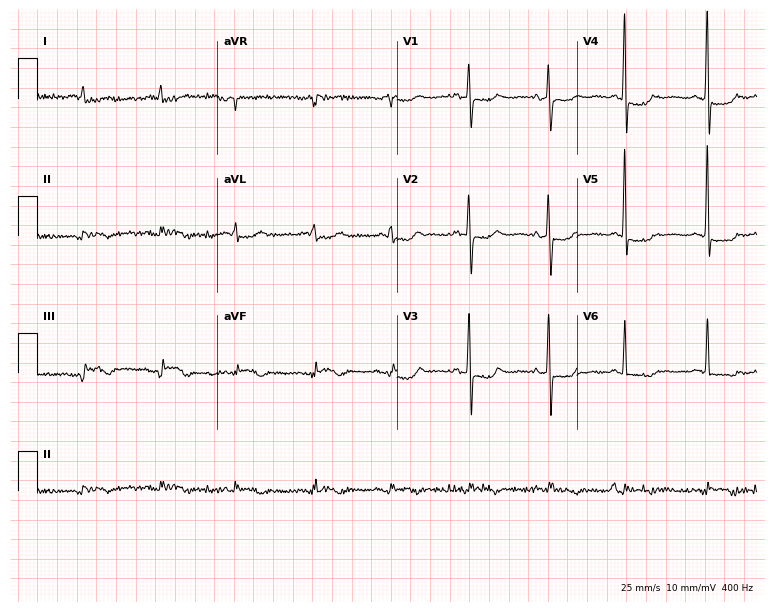
Electrocardiogram (7.3-second recording at 400 Hz), an 83-year-old female. Of the six screened findings (first-degree AV block, right bundle branch block, left bundle branch block, sinus bradycardia, atrial fibrillation, sinus tachycardia), none is recorded. Only these six findings were labelled.